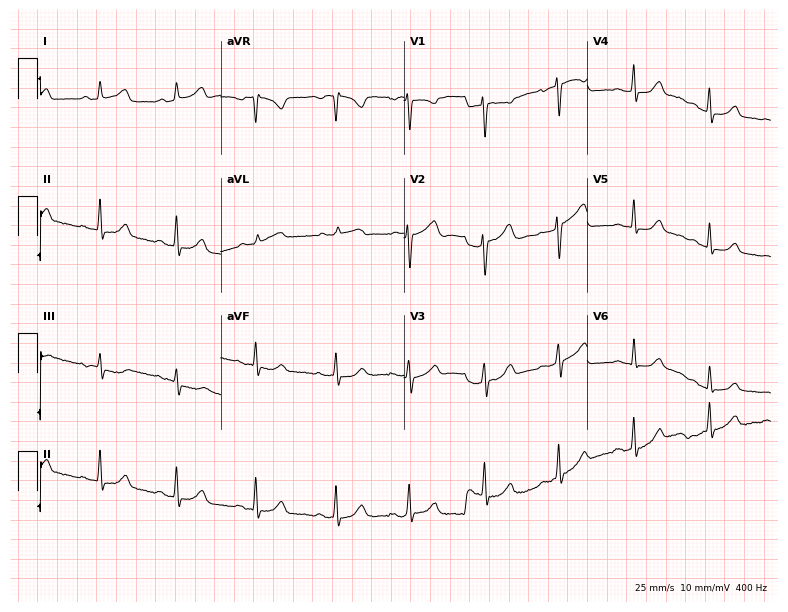
Standard 12-lead ECG recorded from a 19-year-old female patient. None of these six findings is recorded: first-degree AV block, right bundle branch block (RBBB), left bundle branch block (LBBB), sinus bradycardia, atrial fibrillation (AF), sinus tachycardia. Only these six findings were labelled.